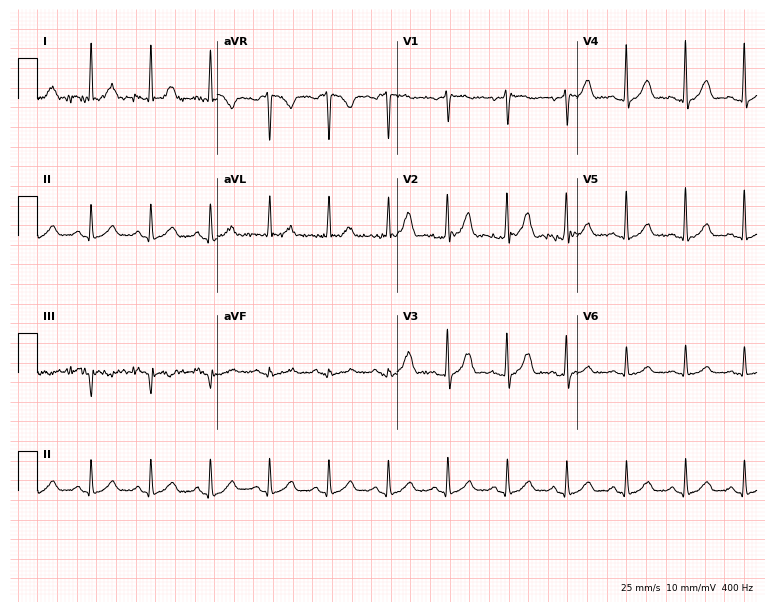
Resting 12-lead electrocardiogram. Patient: a 59-year-old female. Read as a normal ECG.